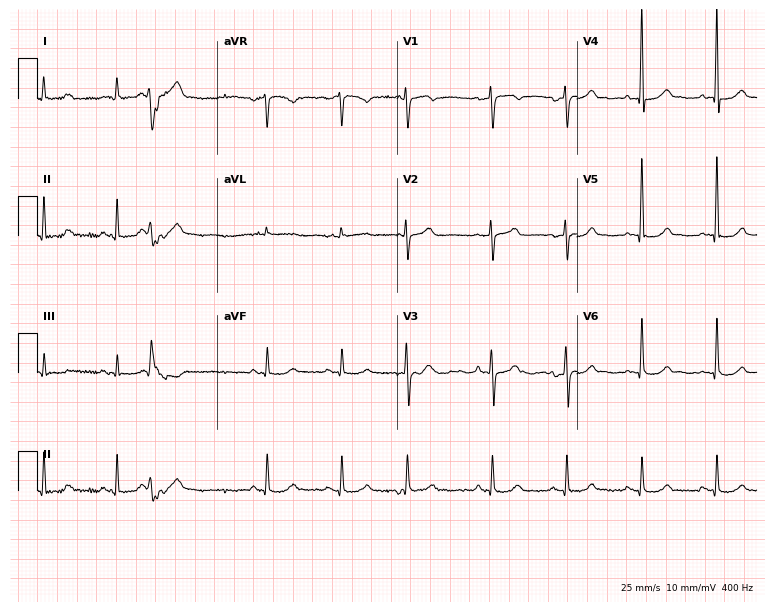
Electrocardiogram (7.3-second recording at 400 Hz), a 72-year-old female patient. Of the six screened findings (first-degree AV block, right bundle branch block, left bundle branch block, sinus bradycardia, atrial fibrillation, sinus tachycardia), none is recorded. Findings outside these six are not listed.